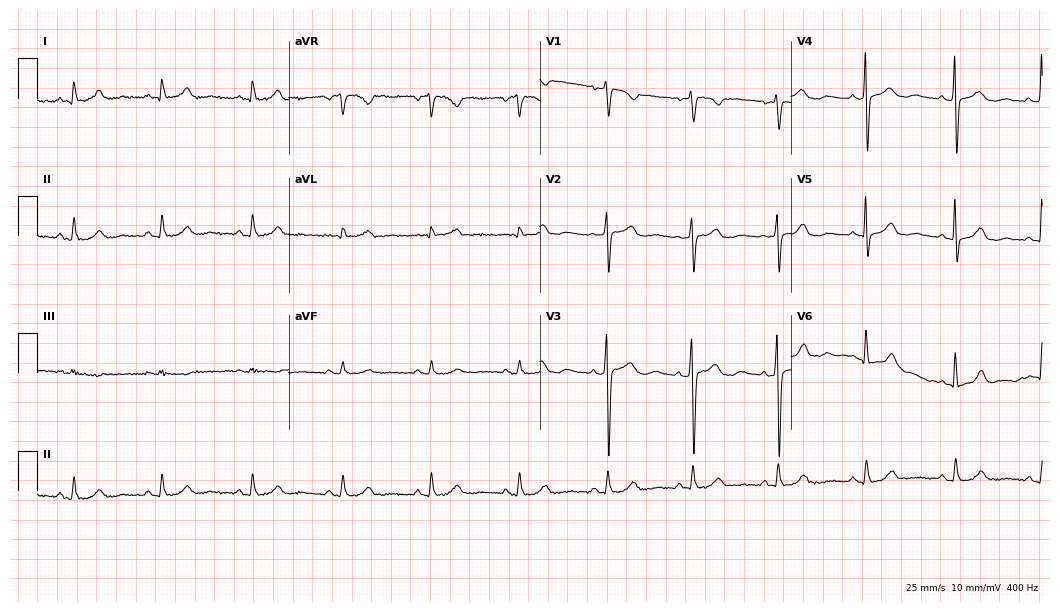
12-lead ECG from a 66-year-old female patient. Recorded interpretation: within normal limits.